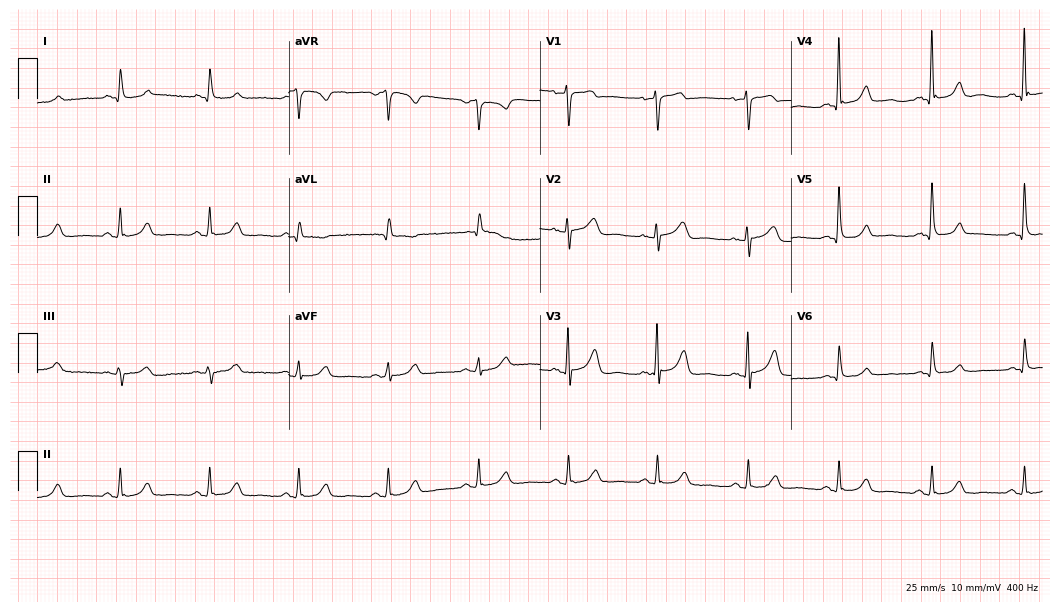
12-lead ECG (10.2-second recording at 400 Hz) from a 55-year-old male. Labelled as a normal ECG.